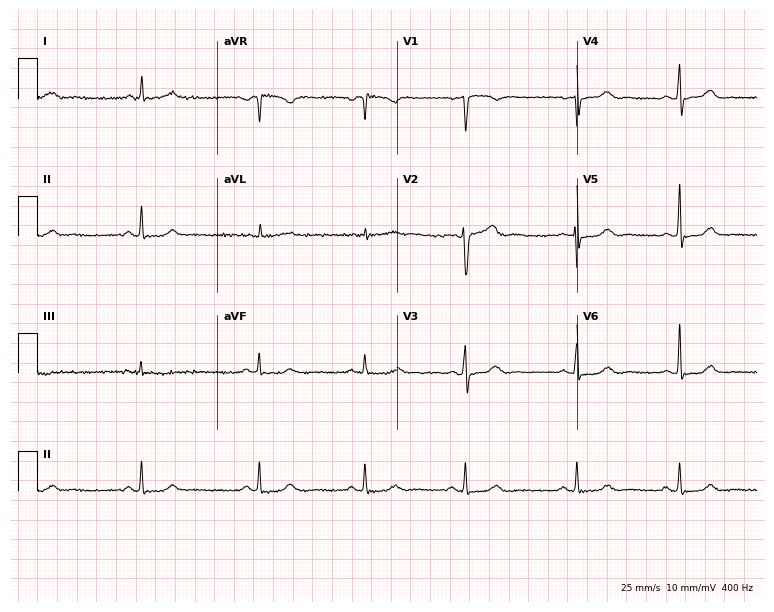
Electrocardiogram (7.3-second recording at 400 Hz), a female patient, 50 years old. Of the six screened findings (first-degree AV block, right bundle branch block, left bundle branch block, sinus bradycardia, atrial fibrillation, sinus tachycardia), none is recorded. Findings outside these six are not listed.